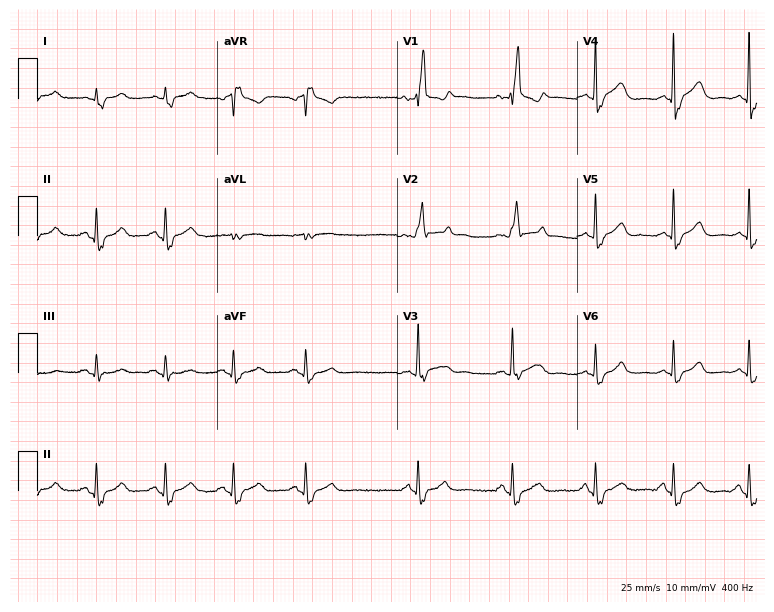
ECG — an 85-year-old female. Findings include right bundle branch block.